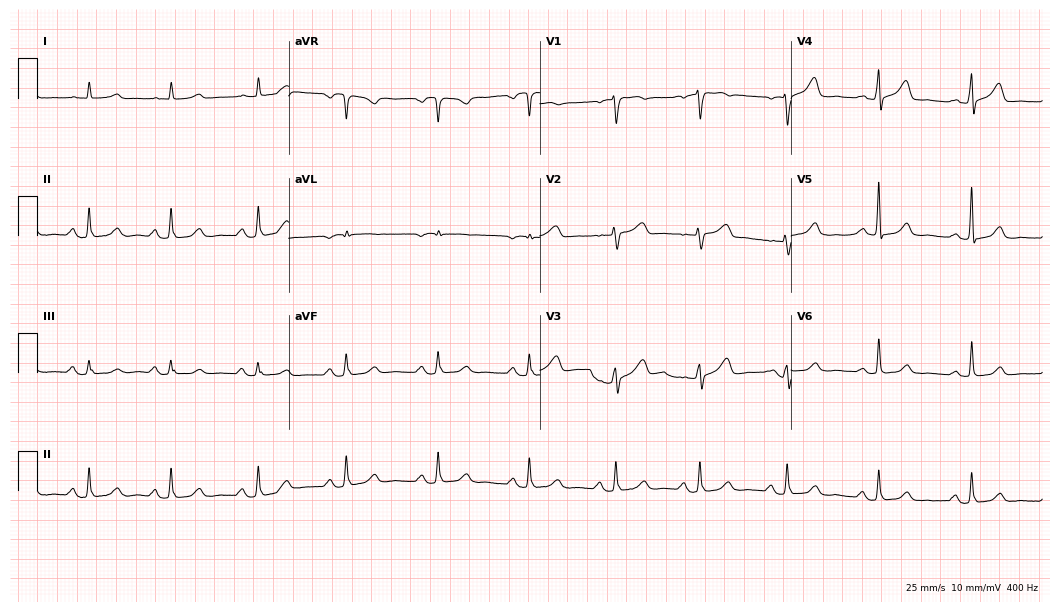
ECG (10.2-second recording at 400 Hz) — a 65-year-old female. Labelled as a normal ECG.